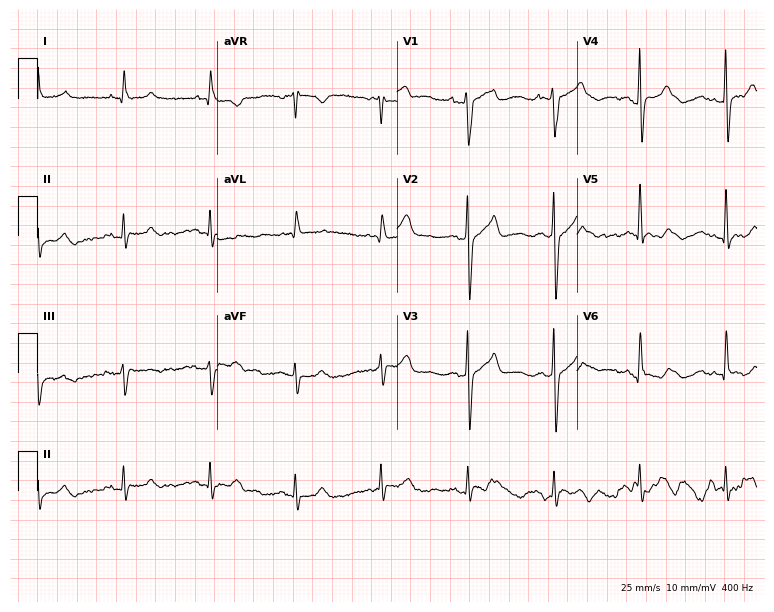
Standard 12-lead ECG recorded from a 67-year-old male. Read as a normal ECG.